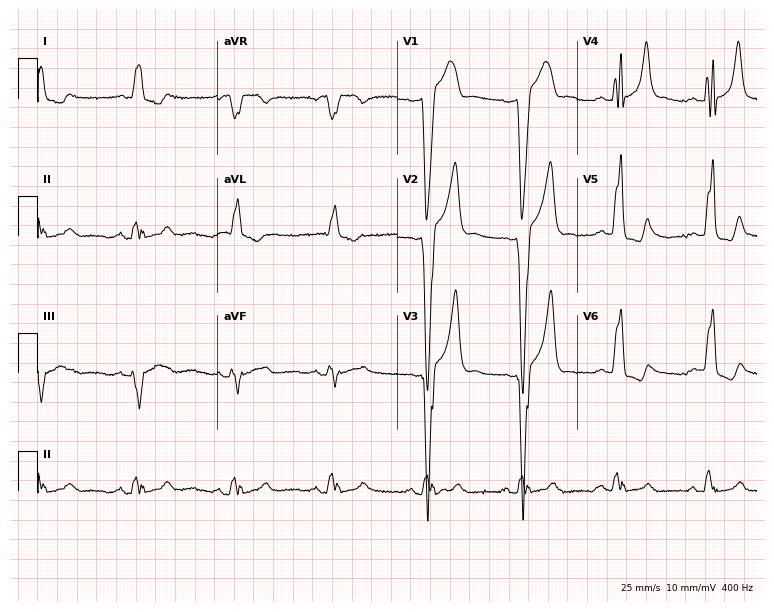
ECG — a 76-year-old male. Screened for six findings — first-degree AV block, right bundle branch block, left bundle branch block, sinus bradycardia, atrial fibrillation, sinus tachycardia — none is recorded. Other findings, if any, are not listed.